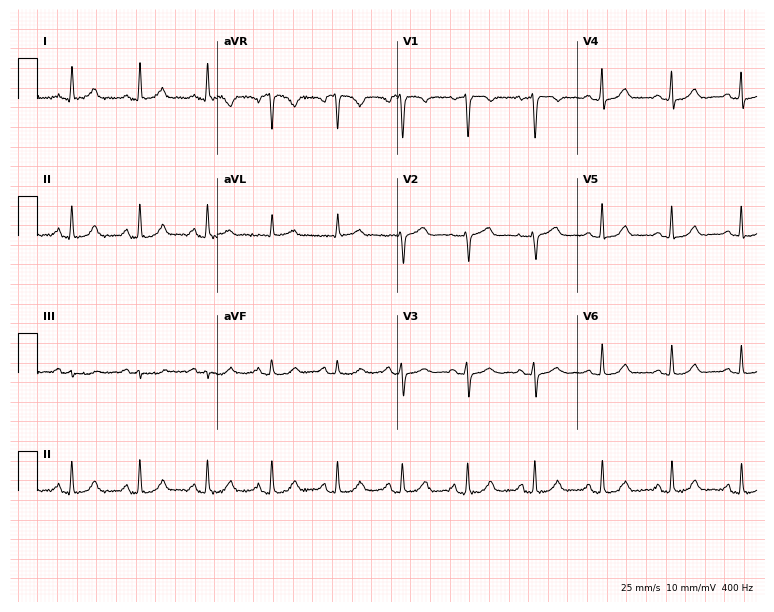
12-lead ECG from a 65-year-old woman. Recorded interpretation: within normal limits.